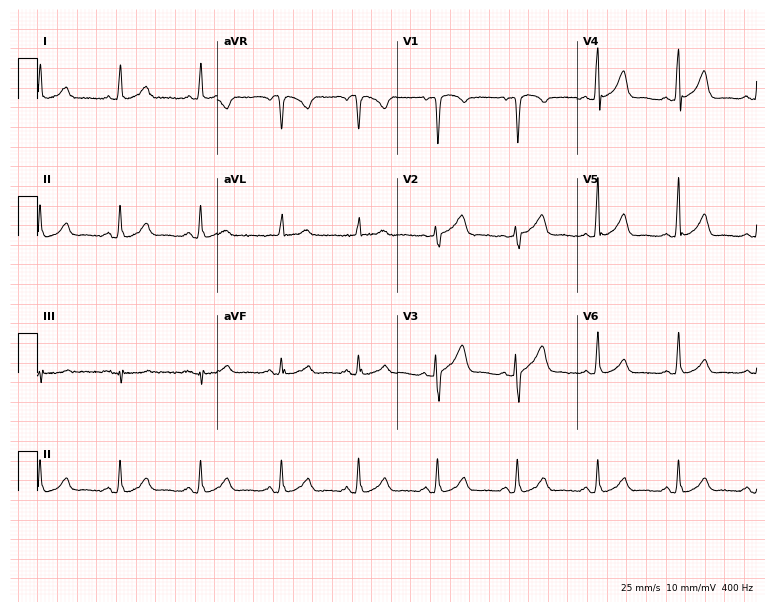
Resting 12-lead electrocardiogram (7.3-second recording at 400 Hz). Patient: a female, 60 years old. None of these six findings is recorded: first-degree AV block, right bundle branch block (RBBB), left bundle branch block (LBBB), sinus bradycardia, atrial fibrillation (AF), sinus tachycardia. Findings outside these six are not listed.